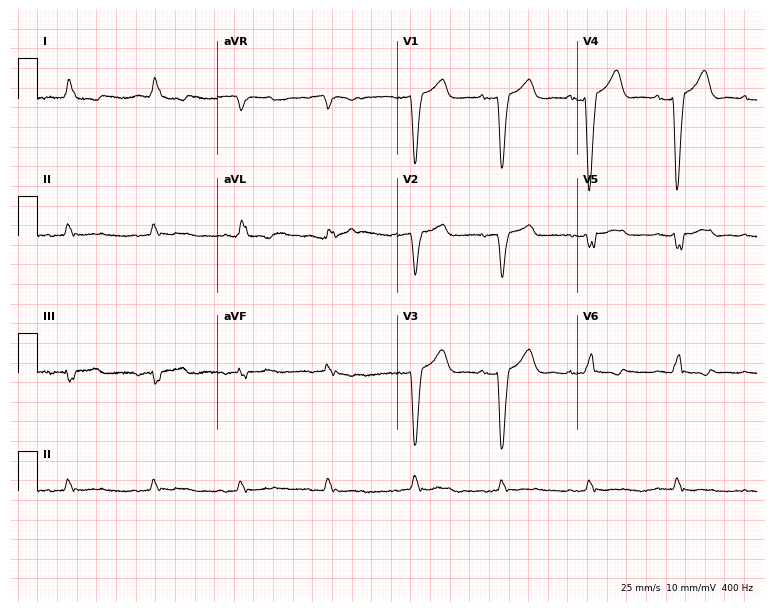
12-lead ECG from a female patient, 77 years old (7.3-second recording at 400 Hz). No first-degree AV block, right bundle branch block, left bundle branch block, sinus bradycardia, atrial fibrillation or sinus tachycardia recorded for this tracing.